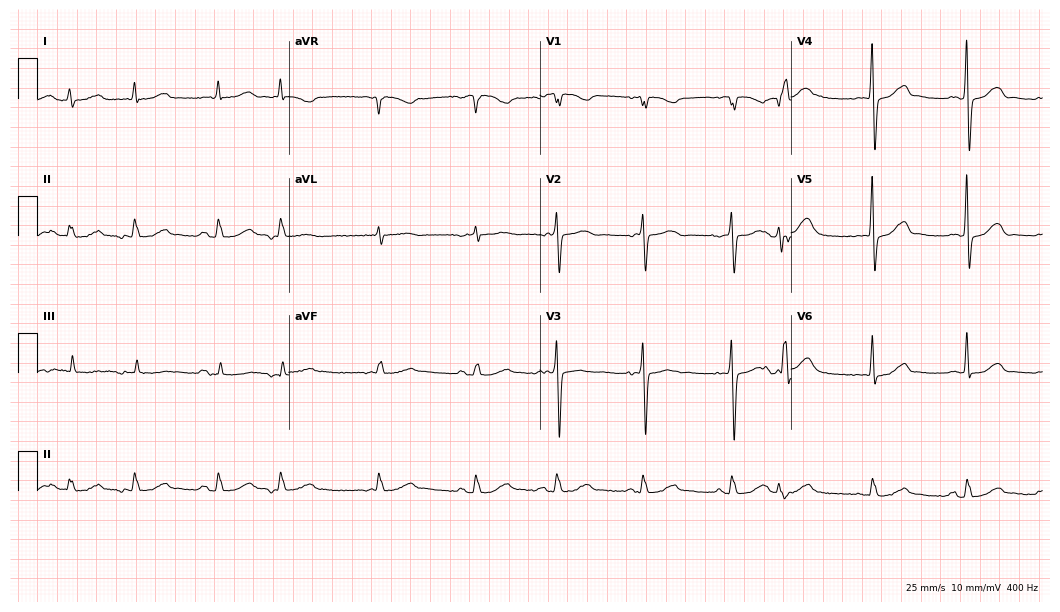
Resting 12-lead electrocardiogram (10.2-second recording at 400 Hz). Patient: a female, 85 years old. None of these six findings is recorded: first-degree AV block, right bundle branch block, left bundle branch block, sinus bradycardia, atrial fibrillation, sinus tachycardia.